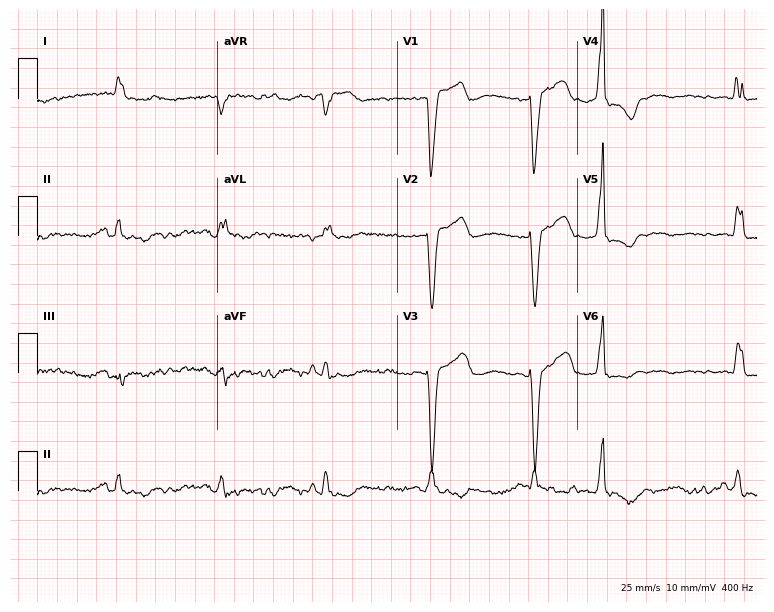
12-lead ECG from an 81-year-old female patient. Screened for six findings — first-degree AV block, right bundle branch block, left bundle branch block, sinus bradycardia, atrial fibrillation, sinus tachycardia — none is recorded.